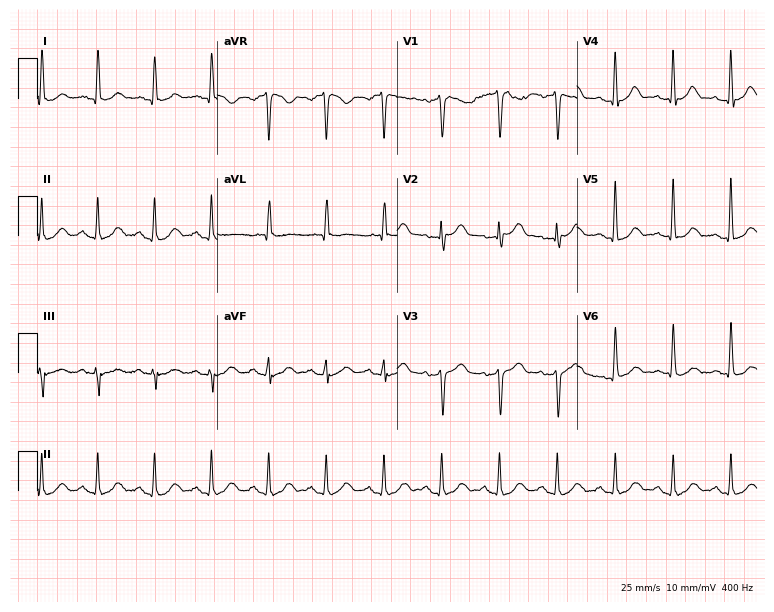
Standard 12-lead ECG recorded from a male patient, 68 years old (7.3-second recording at 400 Hz). None of these six findings is recorded: first-degree AV block, right bundle branch block (RBBB), left bundle branch block (LBBB), sinus bradycardia, atrial fibrillation (AF), sinus tachycardia. Other findings, if any, are not listed.